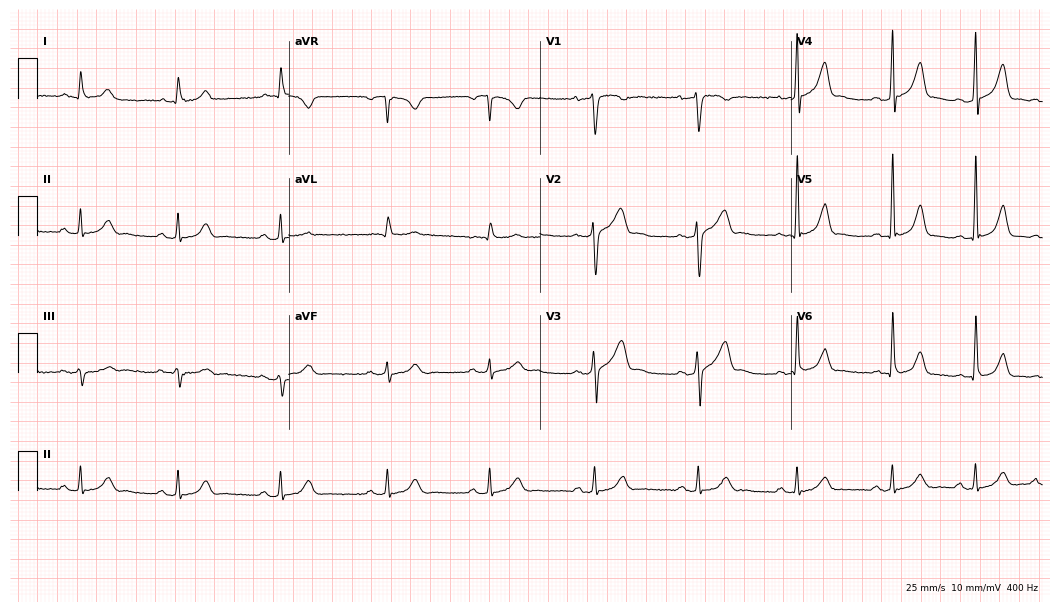
ECG (10.2-second recording at 400 Hz) — a 51-year-old male. Labelled as a normal ECG.